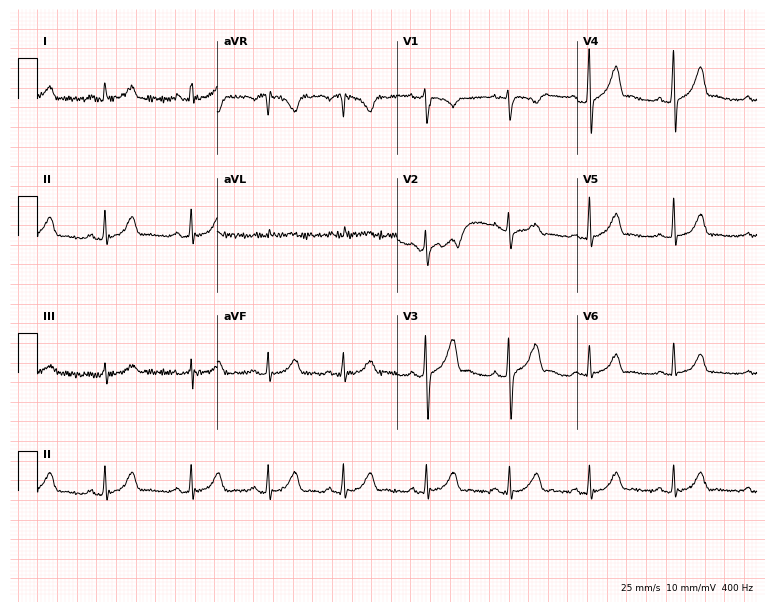
Electrocardiogram, a 35-year-old female patient. Of the six screened findings (first-degree AV block, right bundle branch block (RBBB), left bundle branch block (LBBB), sinus bradycardia, atrial fibrillation (AF), sinus tachycardia), none is recorded. Only these six findings were labelled.